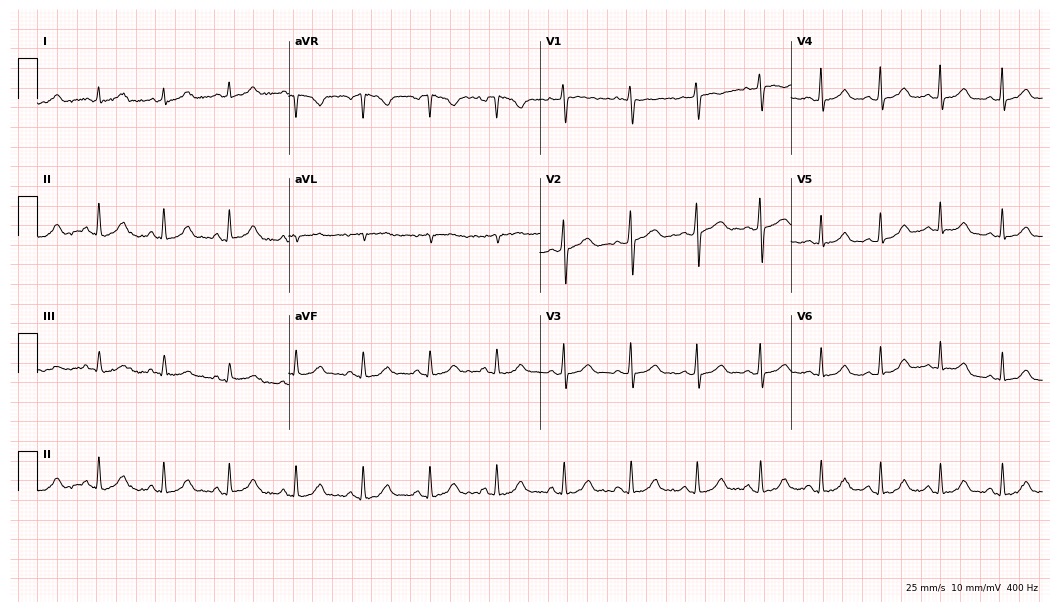
12-lead ECG from a 47-year-old female. Screened for six findings — first-degree AV block, right bundle branch block, left bundle branch block, sinus bradycardia, atrial fibrillation, sinus tachycardia — none is recorded. Only these six findings were labelled.